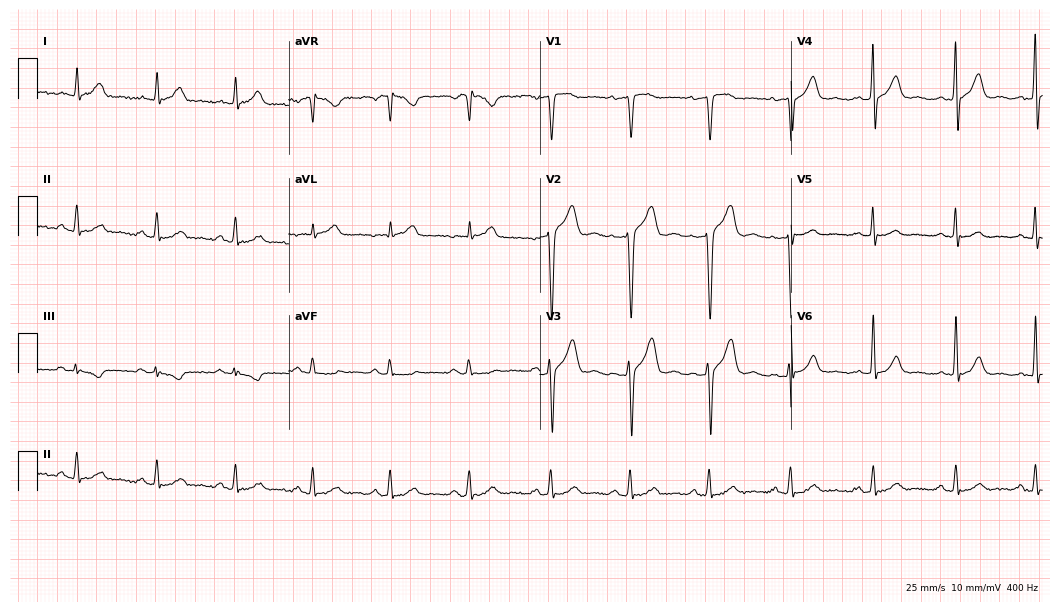
Standard 12-lead ECG recorded from a male, 50 years old. Read as a normal ECG.